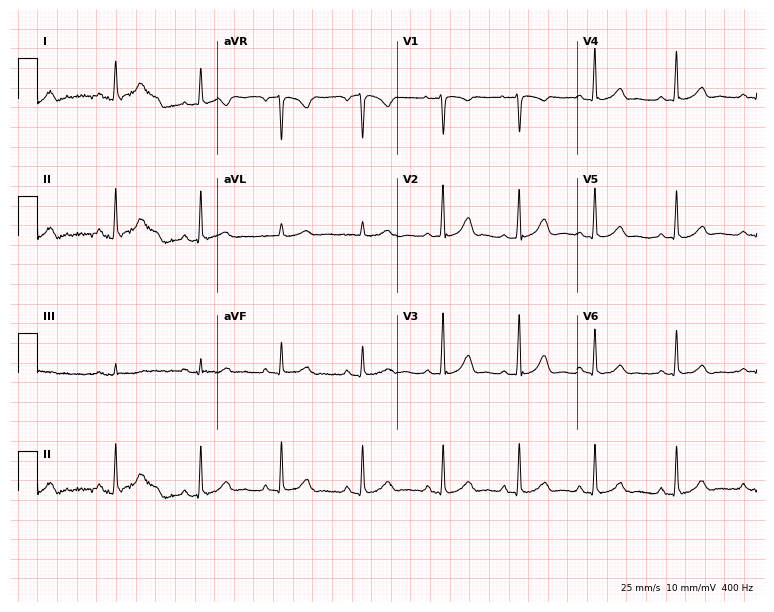
12-lead ECG from a 43-year-old female. Labelled as a normal ECG.